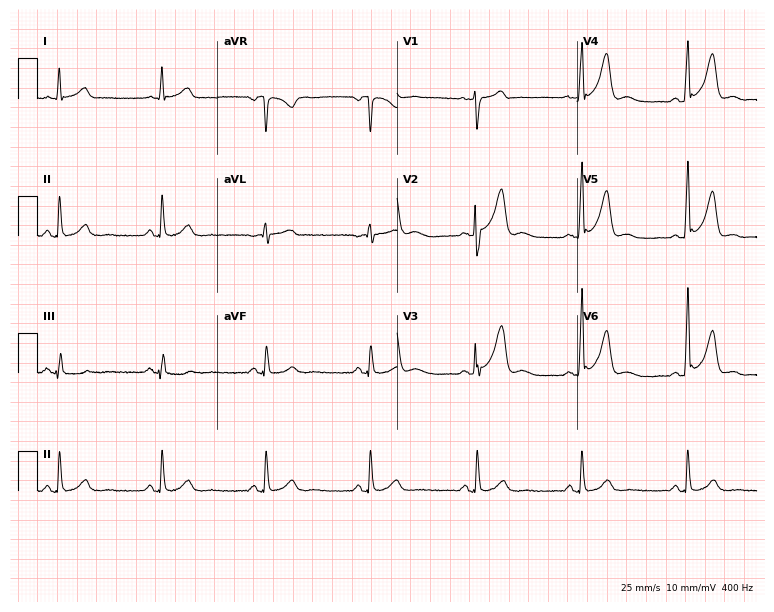
ECG — a 54-year-old male. Screened for six findings — first-degree AV block, right bundle branch block, left bundle branch block, sinus bradycardia, atrial fibrillation, sinus tachycardia — none is recorded. Other findings, if any, are not listed.